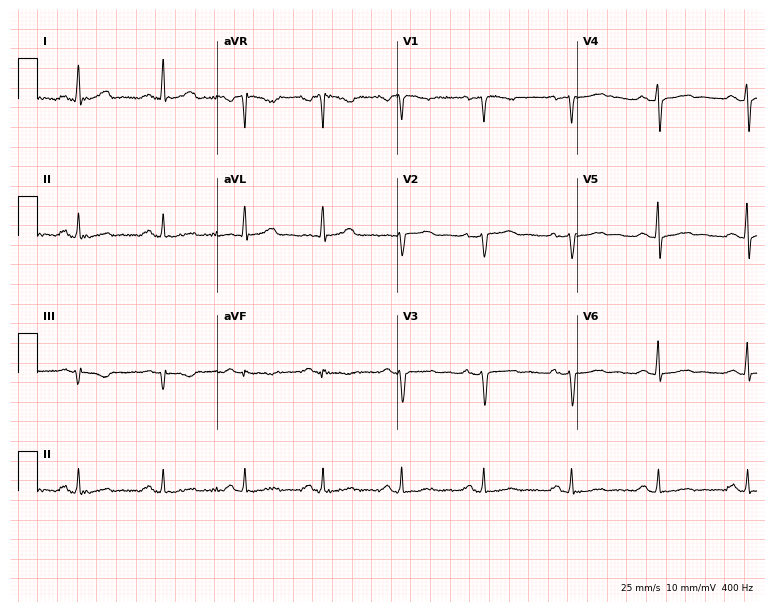
Electrocardiogram, a female, 55 years old. Of the six screened findings (first-degree AV block, right bundle branch block (RBBB), left bundle branch block (LBBB), sinus bradycardia, atrial fibrillation (AF), sinus tachycardia), none is recorded.